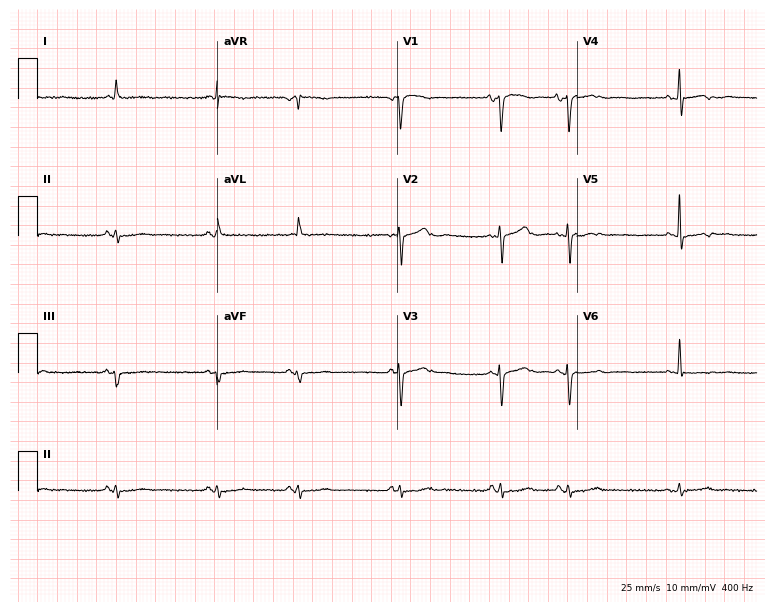
Standard 12-lead ECG recorded from an 84-year-old male (7.3-second recording at 400 Hz). None of these six findings is recorded: first-degree AV block, right bundle branch block, left bundle branch block, sinus bradycardia, atrial fibrillation, sinus tachycardia. Findings outside these six are not listed.